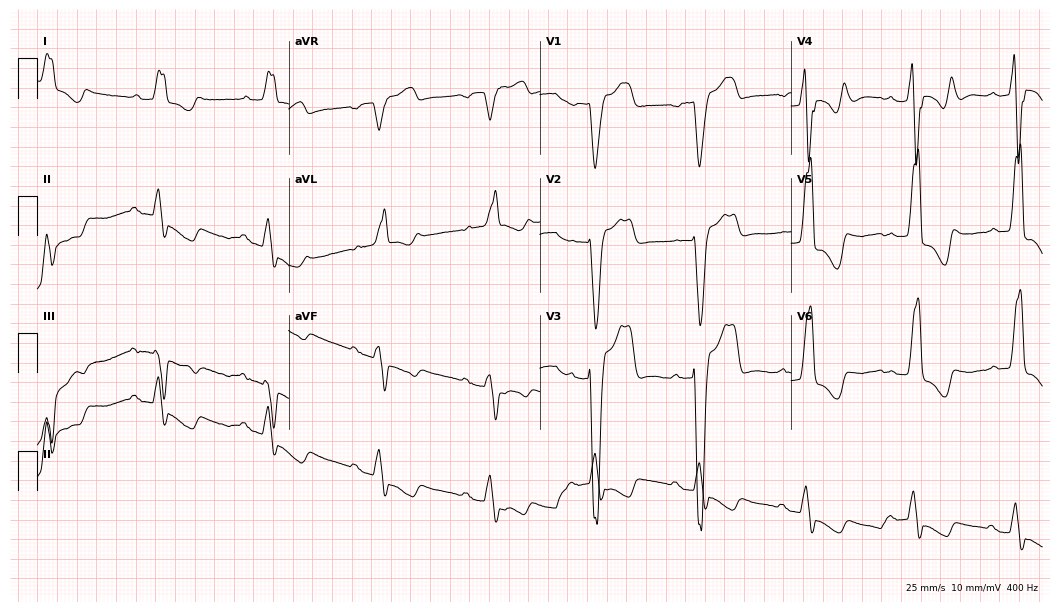
ECG — a man, 66 years old. Findings include first-degree AV block, left bundle branch block (LBBB).